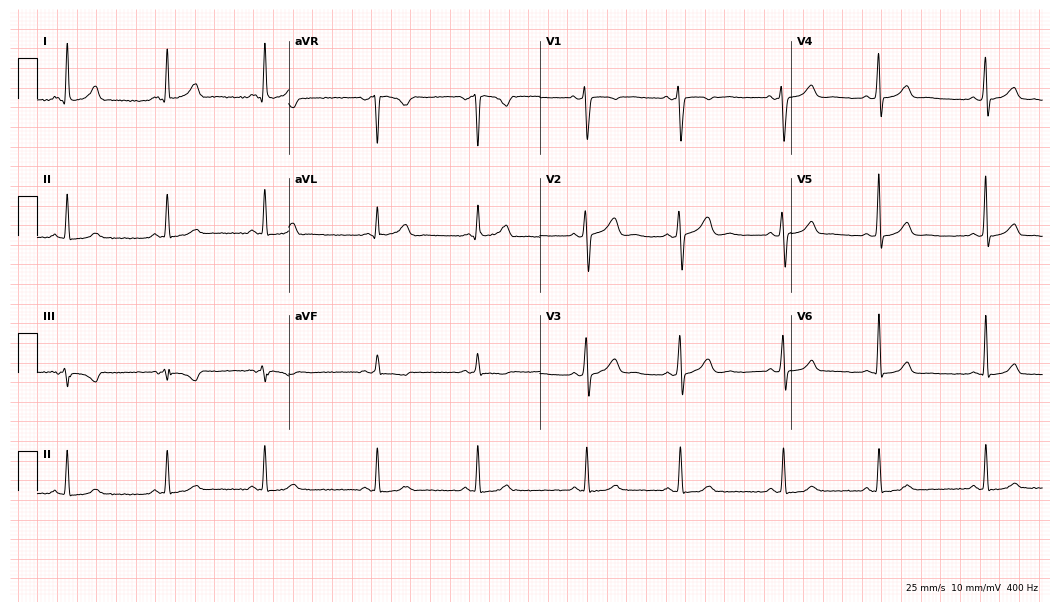
ECG — a 31-year-old female patient. Screened for six findings — first-degree AV block, right bundle branch block (RBBB), left bundle branch block (LBBB), sinus bradycardia, atrial fibrillation (AF), sinus tachycardia — none is recorded.